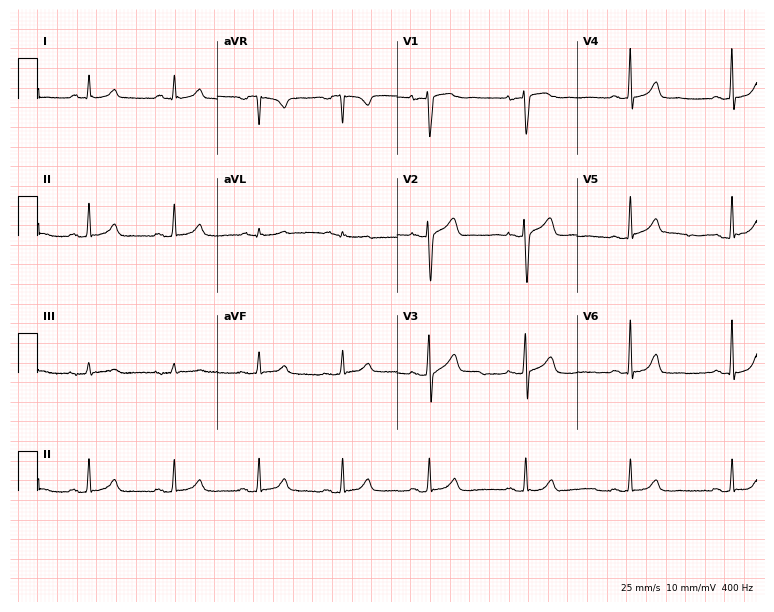
ECG (7.3-second recording at 400 Hz) — a female, 45 years old. Labelled as a normal ECG.